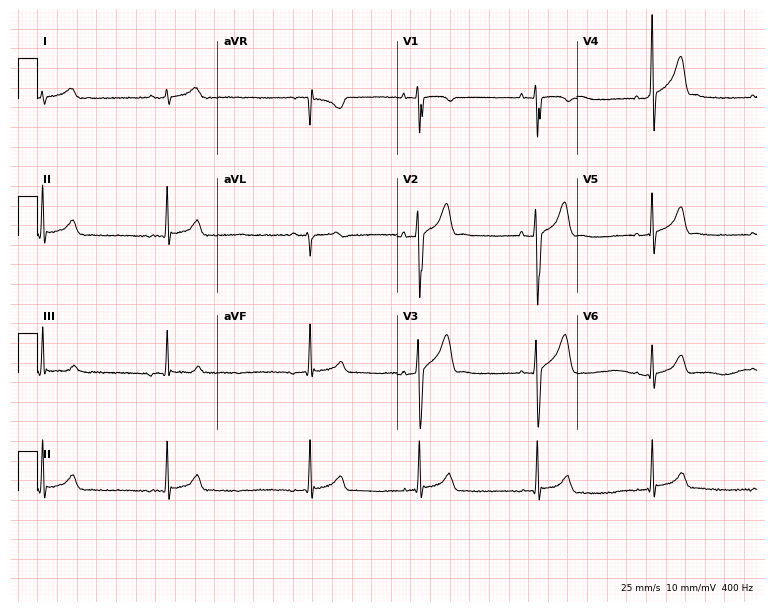
Electrocardiogram, a man, 25 years old. Interpretation includes sinus bradycardia (a sinus rate of 50 beats per minute or less).